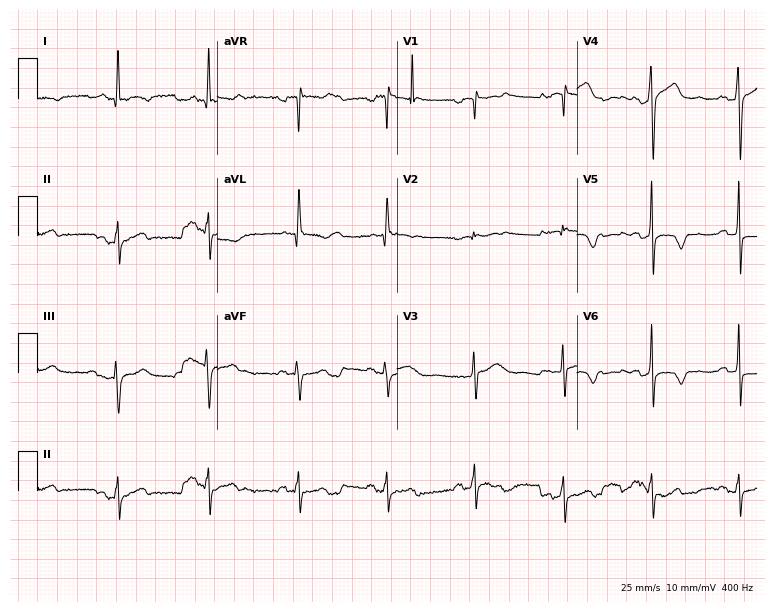
ECG — a 74-year-old woman. Screened for six findings — first-degree AV block, right bundle branch block (RBBB), left bundle branch block (LBBB), sinus bradycardia, atrial fibrillation (AF), sinus tachycardia — none is recorded. Only these six findings were labelled.